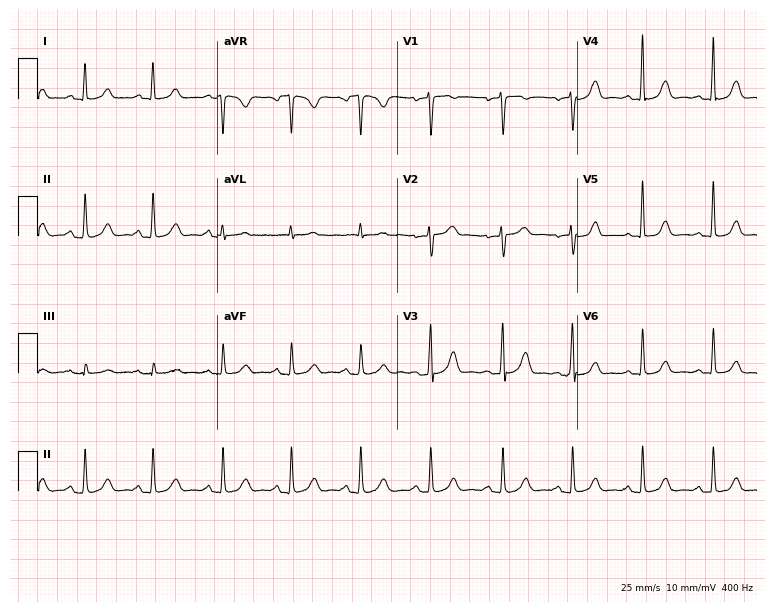
Electrocardiogram (7.3-second recording at 400 Hz), a 44-year-old female patient. Of the six screened findings (first-degree AV block, right bundle branch block, left bundle branch block, sinus bradycardia, atrial fibrillation, sinus tachycardia), none is recorded. Other findings, if any, are not listed.